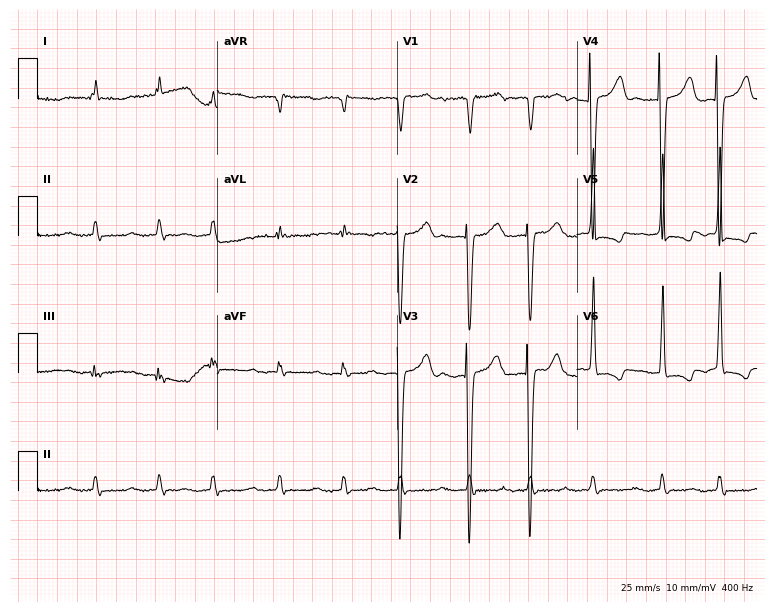
Electrocardiogram (7.3-second recording at 400 Hz), a man, 82 years old. Of the six screened findings (first-degree AV block, right bundle branch block, left bundle branch block, sinus bradycardia, atrial fibrillation, sinus tachycardia), none is recorded. Other findings, if any, are not listed.